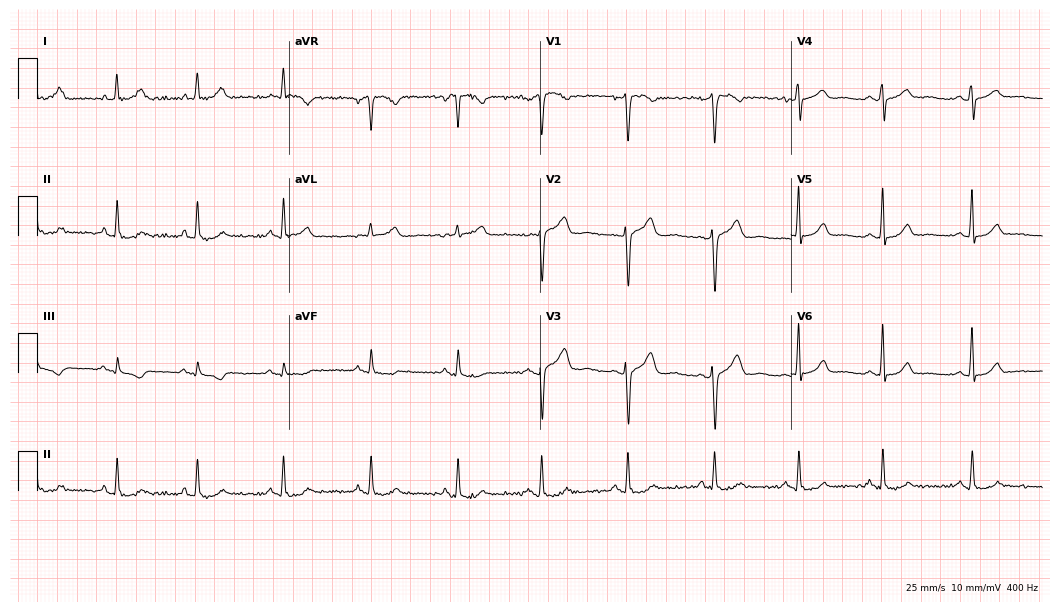
Electrocardiogram (10.2-second recording at 400 Hz), a 51-year-old female. Of the six screened findings (first-degree AV block, right bundle branch block, left bundle branch block, sinus bradycardia, atrial fibrillation, sinus tachycardia), none is recorded. Findings outside these six are not listed.